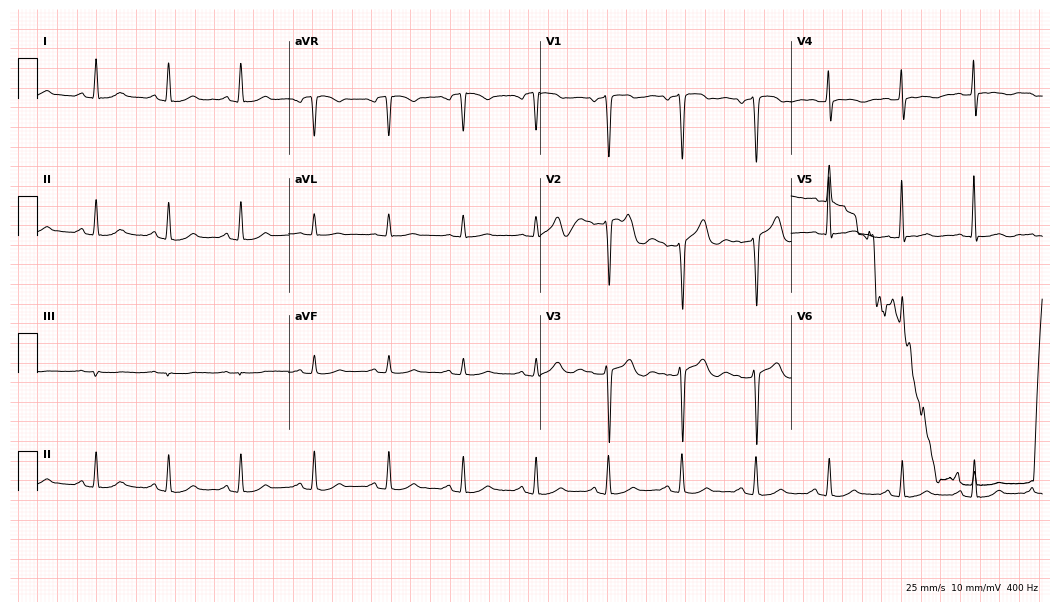
Electrocardiogram, a woman, 77 years old. Of the six screened findings (first-degree AV block, right bundle branch block (RBBB), left bundle branch block (LBBB), sinus bradycardia, atrial fibrillation (AF), sinus tachycardia), none is recorded. Only these six findings were labelled.